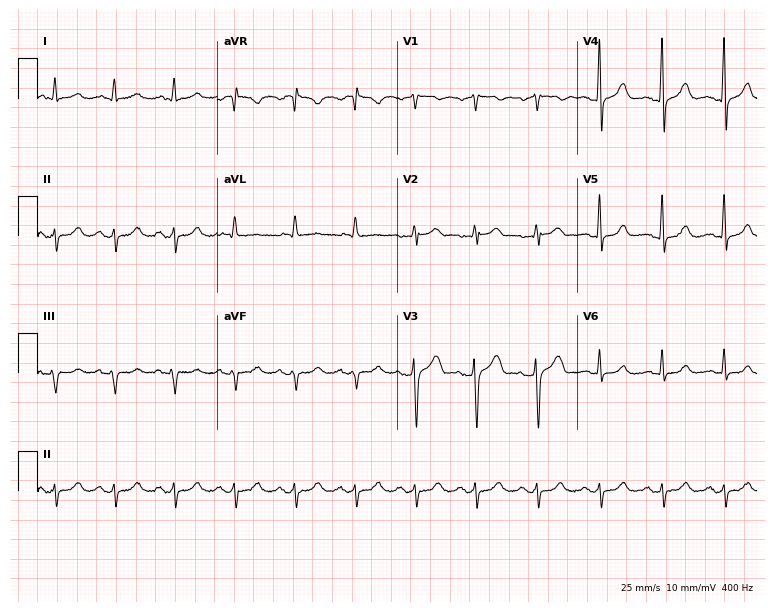
ECG (7.3-second recording at 400 Hz) — a 33-year-old male patient. Screened for six findings — first-degree AV block, right bundle branch block, left bundle branch block, sinus bradycardia, atrial fibrillation, sinus tachycardia — none is recorded. Other findings, if any, are not listed.